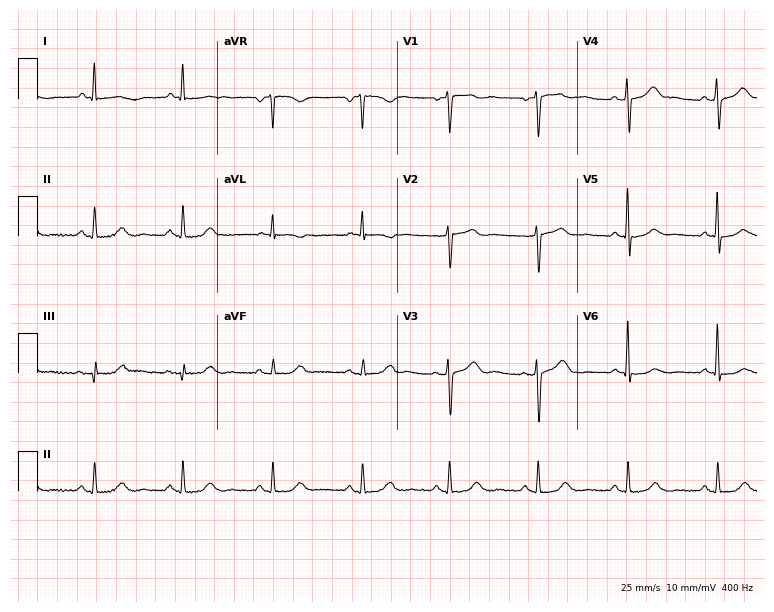
12-lead ECG (7.3-second recording at 400 Hz) from a 67-year-old female. Screened for six findings — first-degree AV block, right bundle branch block, left bundle branch block, sinus bradycardia, atrial fibrillation, sinus tachycardia — none is recorded. Findings outside these six are not listed.